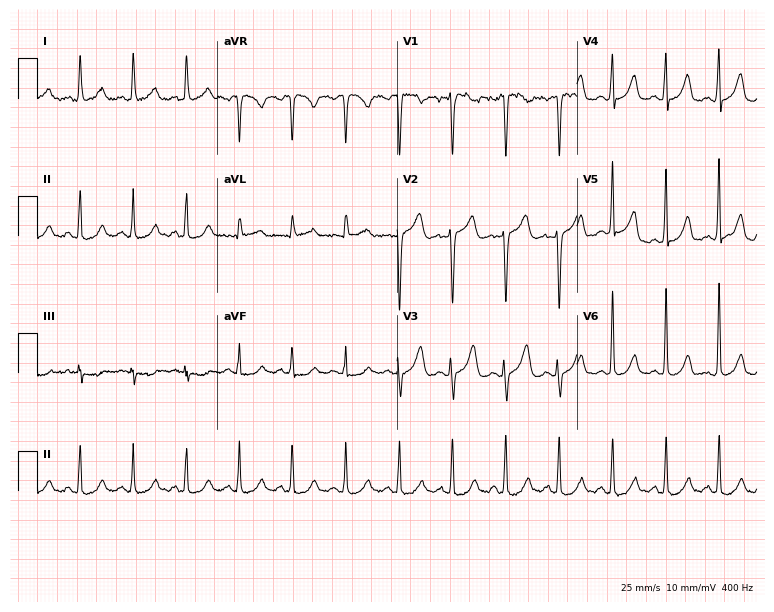
12-lead ECG from a woman, 46 years old. Findings include sinus tachycardia (a sinus rate of 100 beats per minute or more).